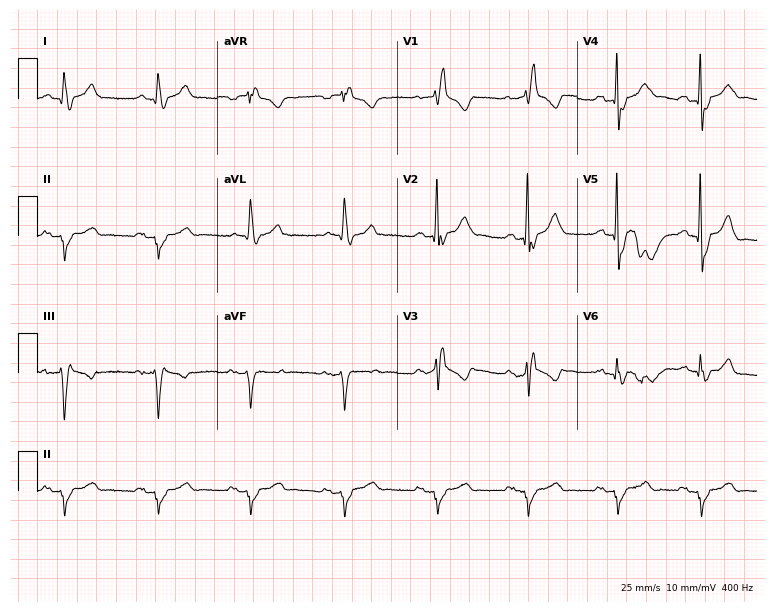
Resting 12-lead electrocardiogram (7.3-second recording at 400 Hz). Patient: a male, 69 years old. None of these six findings is recorded: first-degree AV block, right bundle branch block, left bundle branch block, sinus bradycardia, atrial fibrillation, sinus tachycardia. Other findings, if any, are not listed.